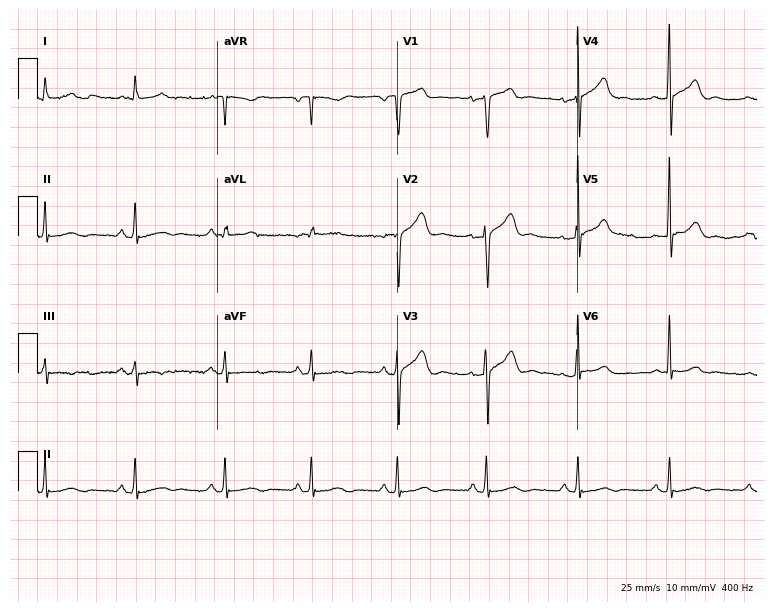
12-lead ECG from a 48-year-old man. No first-degree AV block, right bundle branch block, left bundle branch block, sinus bradycardia, atrial fibrillation or sinus tachycardia recorded for this tracing. Only these six findings were labelled.